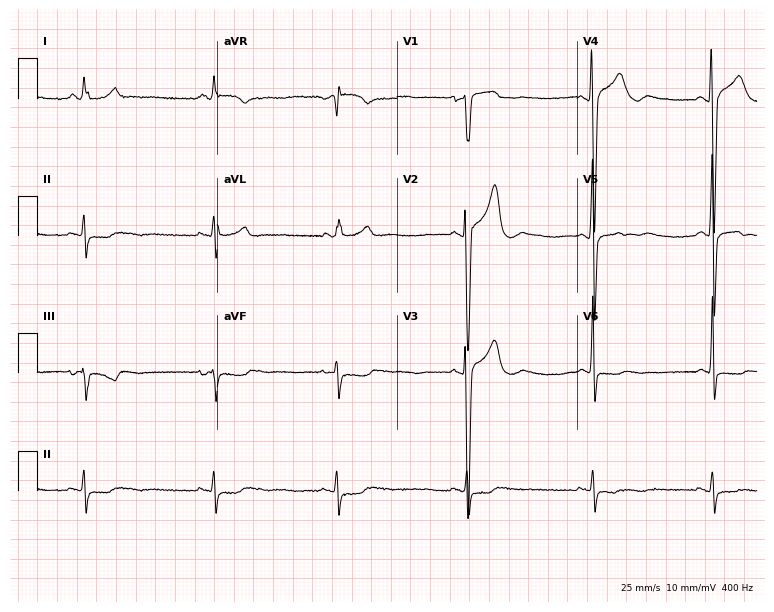
Resting 12-lead electrocardiogram. Patient: a 29-year-old man. Read as a normal ECG.